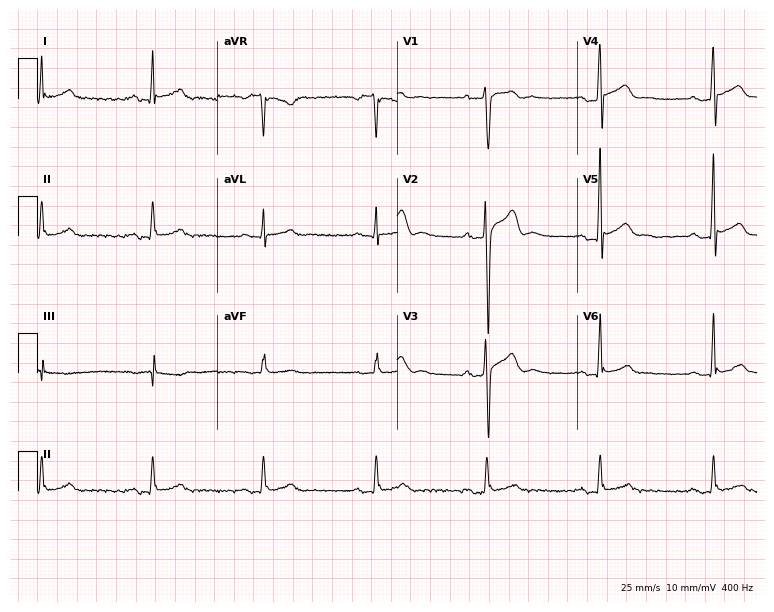
12-lead ECG from a man, 45 years old (7.3-second recording at 400 Hz). Recorded interpretation: within normal limits.